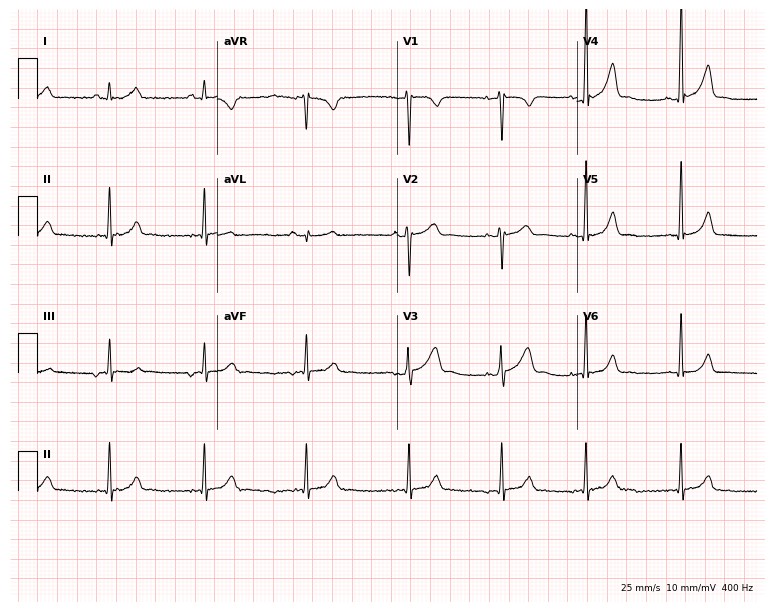
Standard 12-lead ECG recorded from a 38-year-old woman. None of these six findings is recorded: first-degree AV block, right bundle branch block (RBBB), left bundle branch block (LBBB), sinus bradycardia, atrial fibrillation (AF), sinus tachycardia.